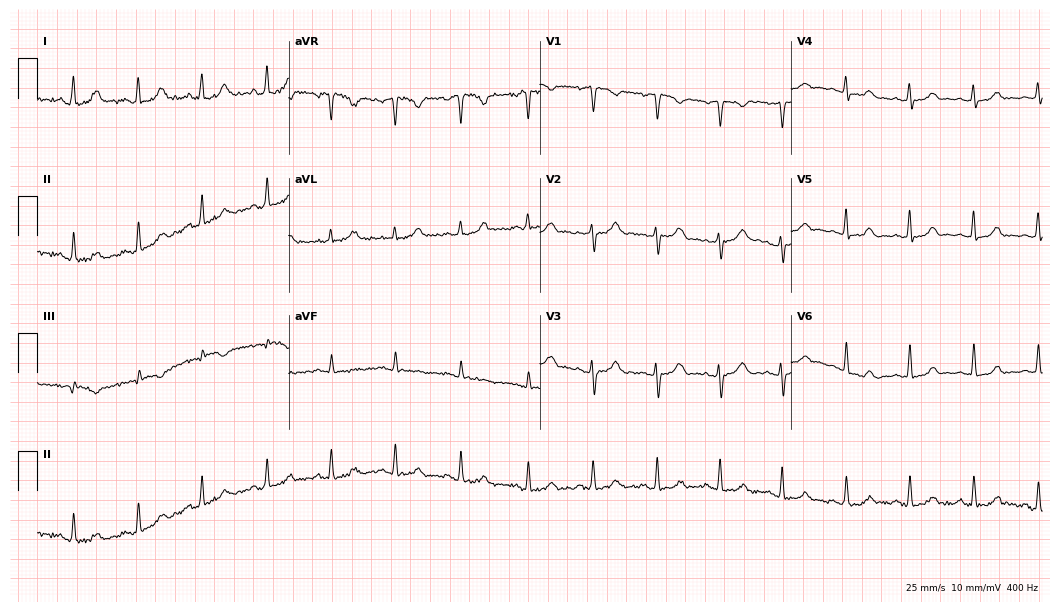
Resting 12-lead electrocardiogram. Patient: a 29-year-old woman. None of these six findings is recorded: first-degree AV block, right bundle branch block (RBBB), left bundle branch block (LBBB), sinus bradycardia, atrial fibrillation (AF), sinus tachycardia.